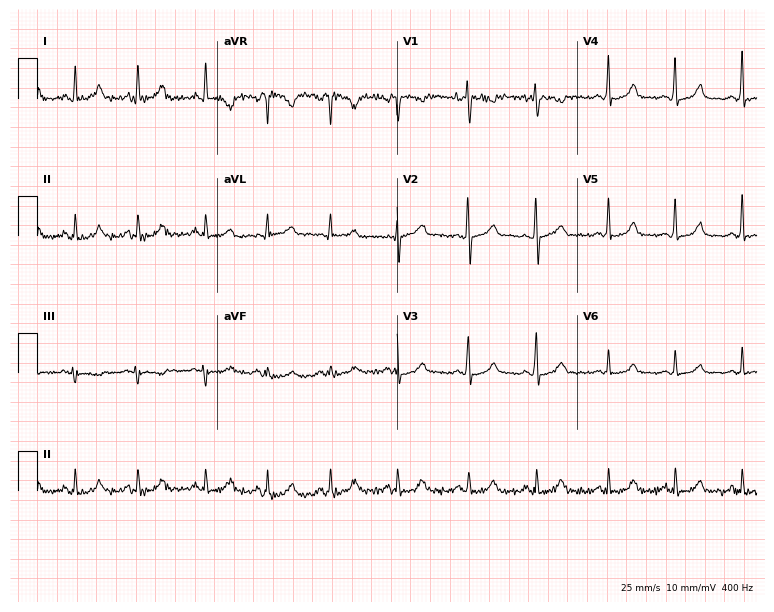
ECG — a female patient, 37 years old. Labelled as a normal ECG.